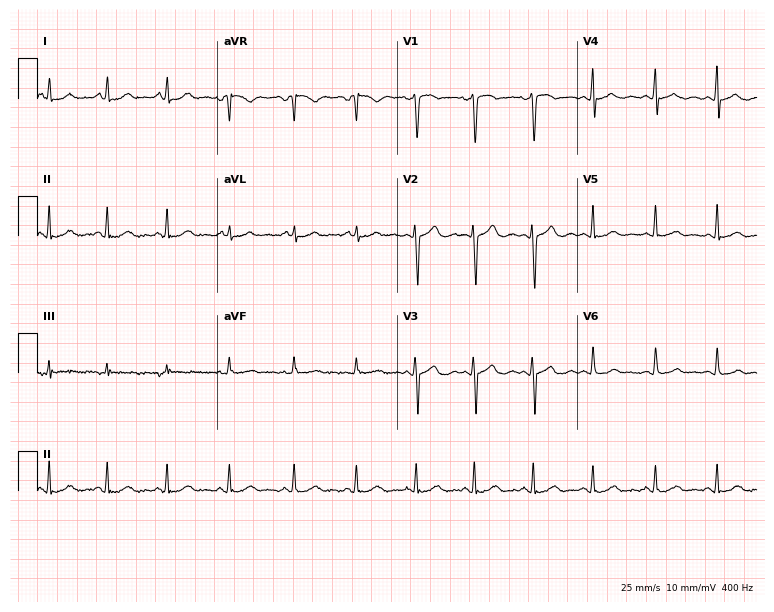
12-lead ECG from a female patient, 26 years old (7.3-second recording at 400 Hz). Recorded interpretation: within normal limits.